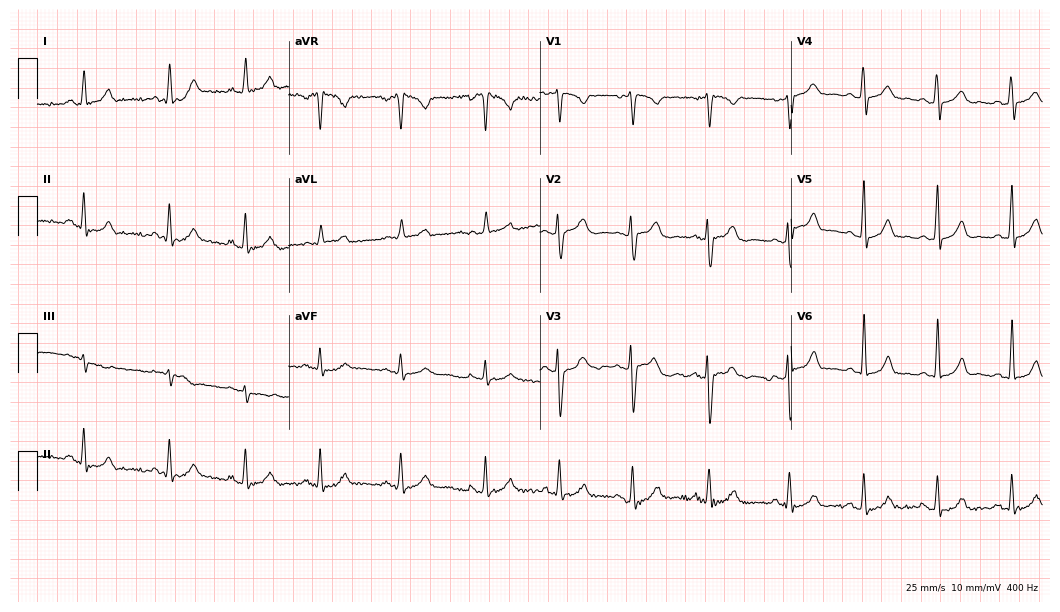
Electrocardiogram (10.2-second recording at 400 Hz), a 25-year-old woman. Overall reading on record: normal ECG.